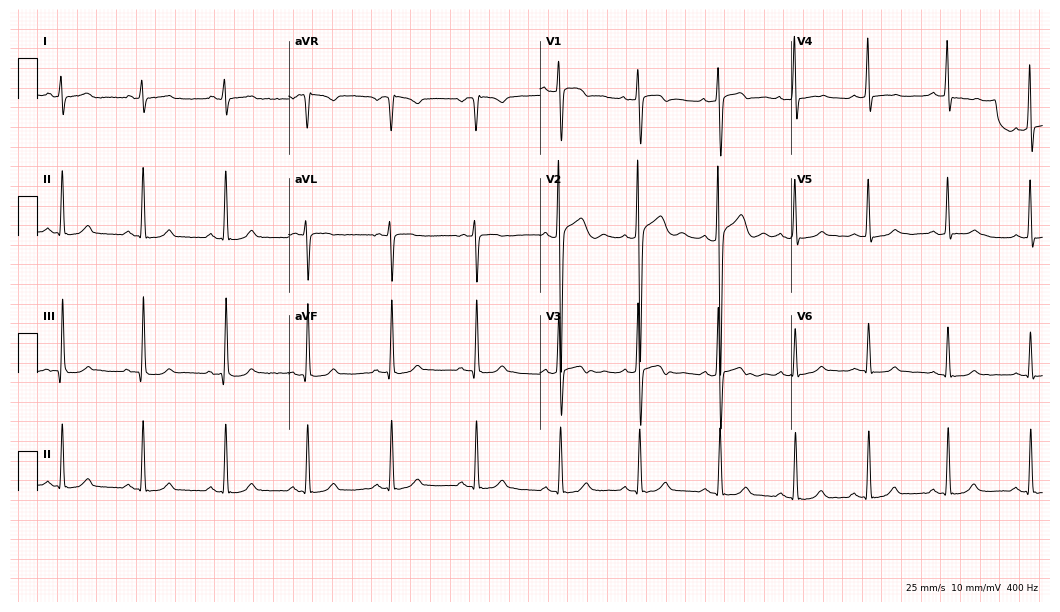
12-lead ECG from a female, 30 years old (10.2-second recording at 400 Hz). Recorded interpretation: within normal limits.